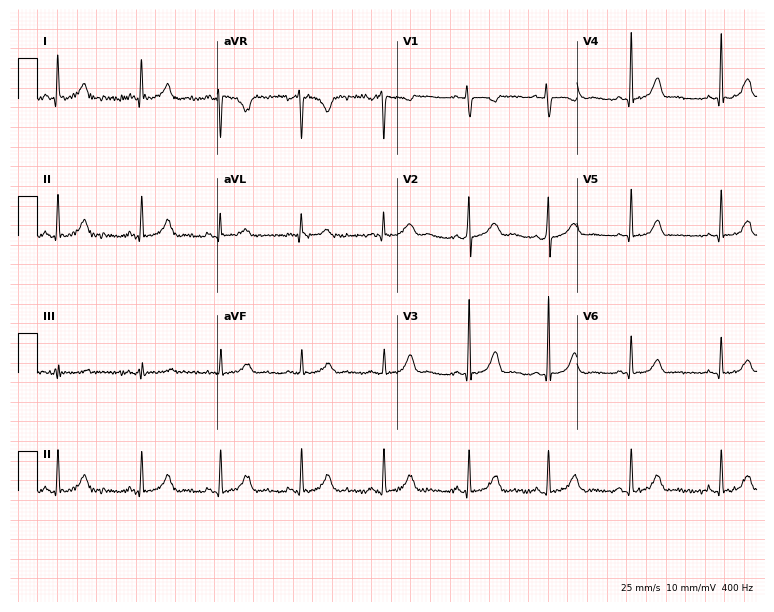
Standard 12-lead ECG recorded from a 22-year-old woman (7.3-second recording at 400 Hz). Read as a normal ECG.